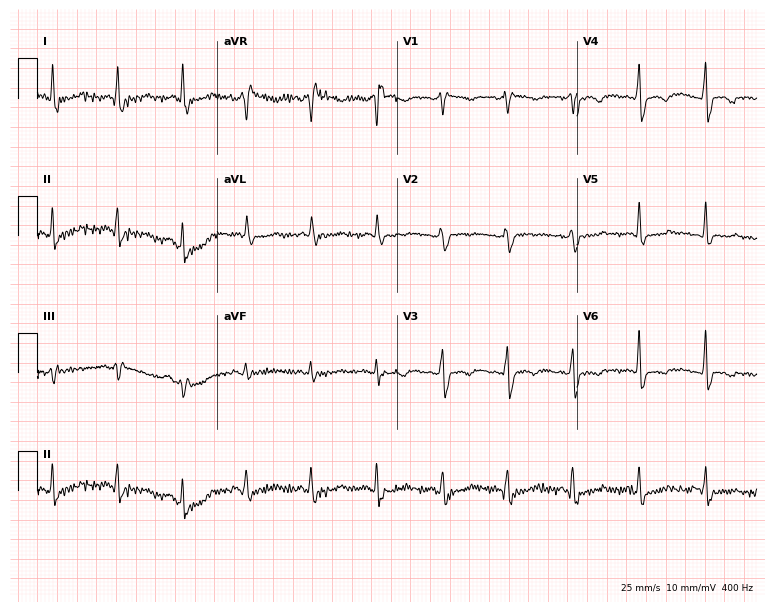
12-lead ECG from a 57-year-old female. Shows right bundle branch block.